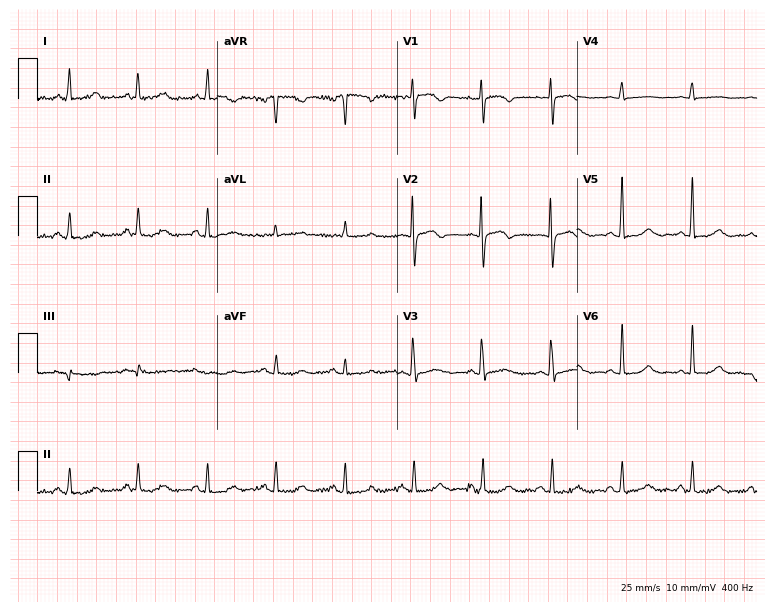
12-lead ECG (7.3-second recording at 400 Hz) from a 77-year-old woman. Screened for six findings — first-degree AV block, right bundle branch block (RBBB), left bundle branch block (LBBB), sinus bradycardia, atrial fibrillation (AF), sinus tachycardia — none is recorded. Findings outside these six are not listed.